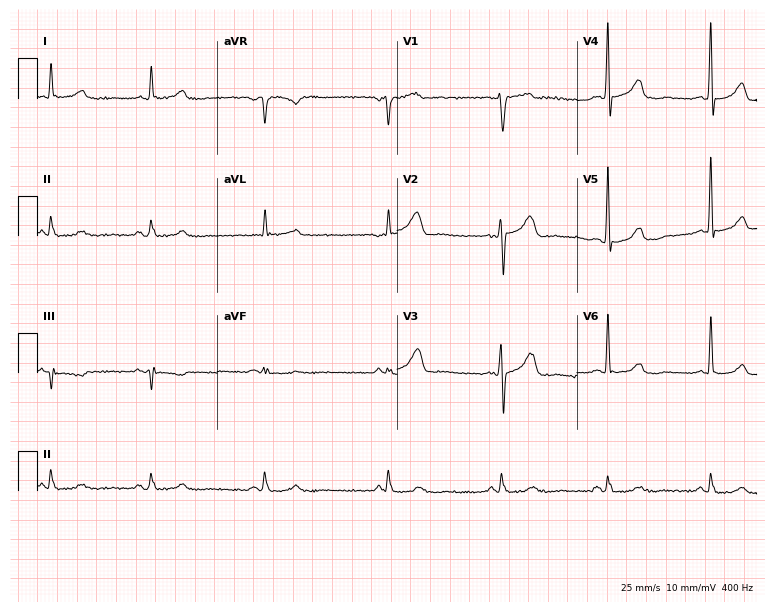
ECG (7.3-second recording at 400 Hz) — a man, 78 years old. Screened for six findings — first-degree AV block, right bundle branch block, left bundle branch block, sinus bradycardia, atrial fibrillation, sinus tachycardia — none is recorded. Only these six findings were labelled.